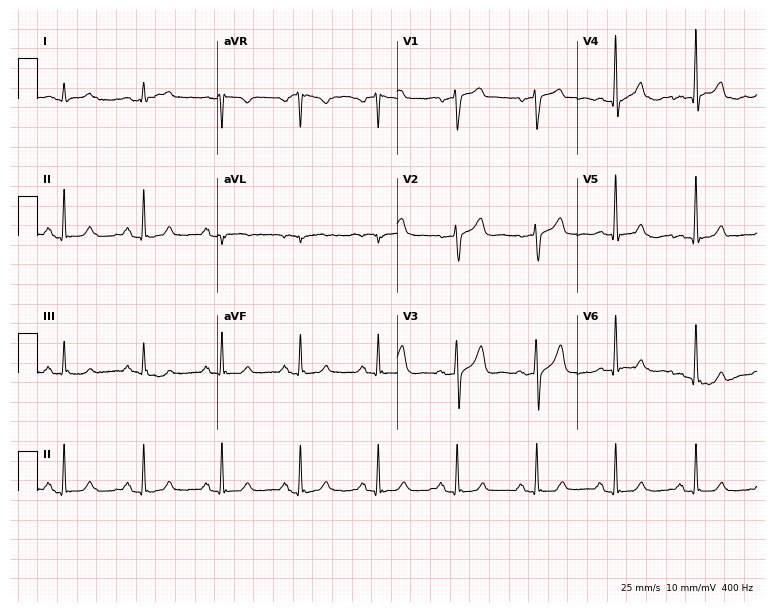
ECG (7.3-second recording at 400 Hz) — a male patient, 60 years old. Labelled as a normal ECG.